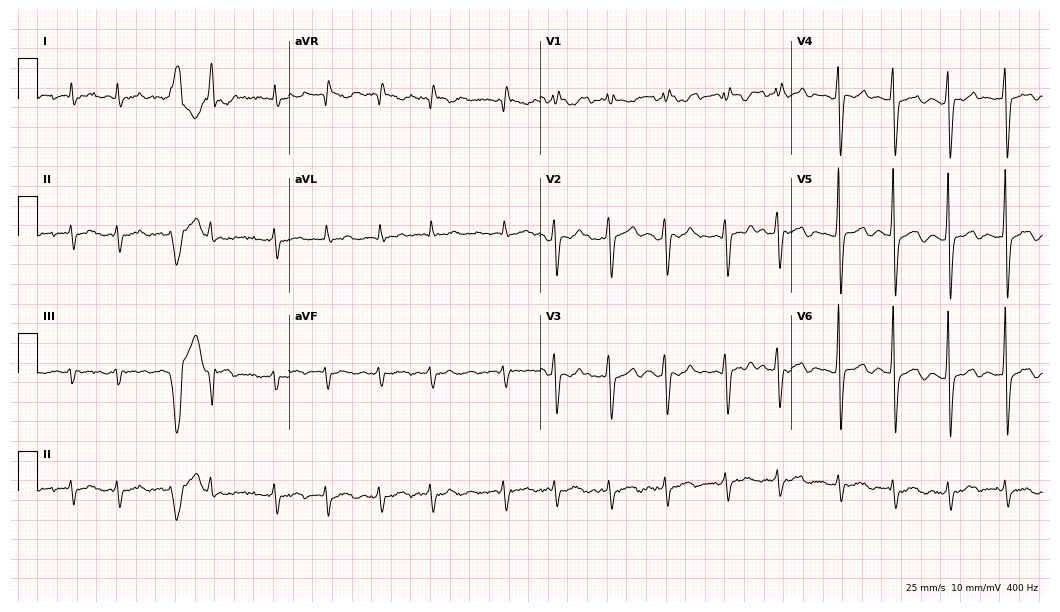
12-lead ECG from a man, 70 years old. Findings include atrial fibrillation.